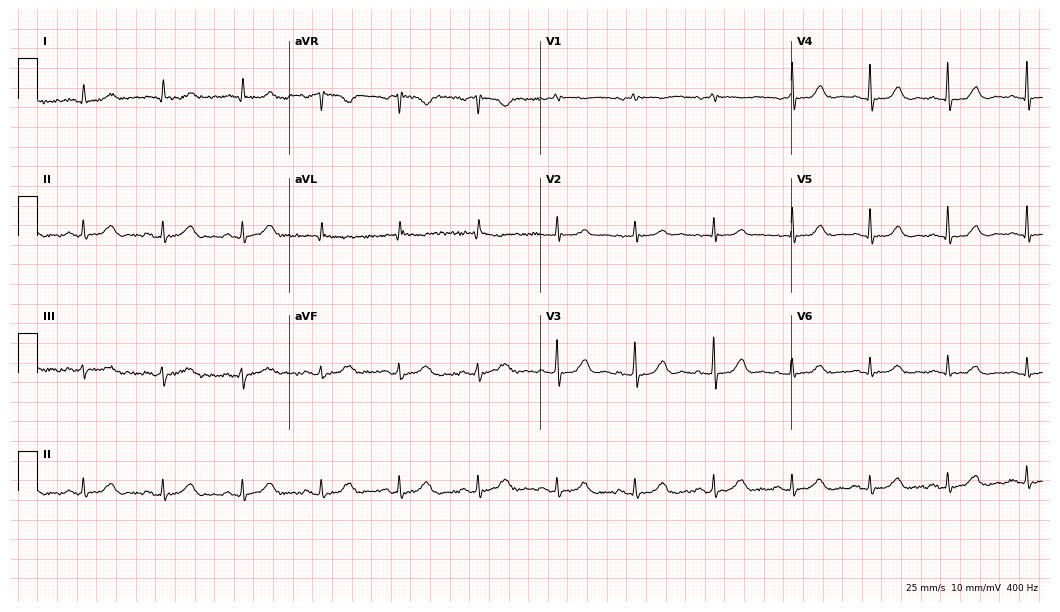
Electrocardiogram, a female patient, 78 years old. Overall reading on record: normal ECG.